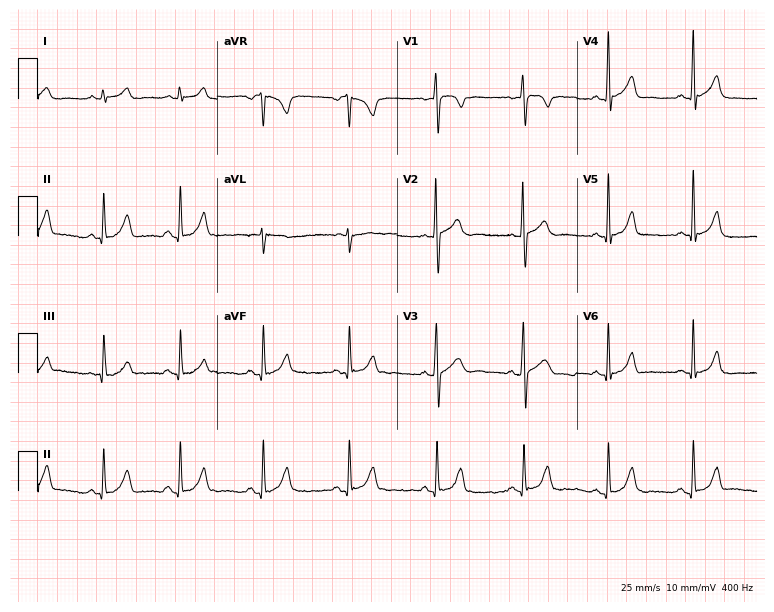
Electrocardiogram (7.3-second recording at 400 Hz), a 26-year-old male. Of the six screened findings (first-degree AV block, right bundle branch block, left bundle branch block, sinus bradycardia, atrial fibrillation, sinus tachycardia), none is recorded.